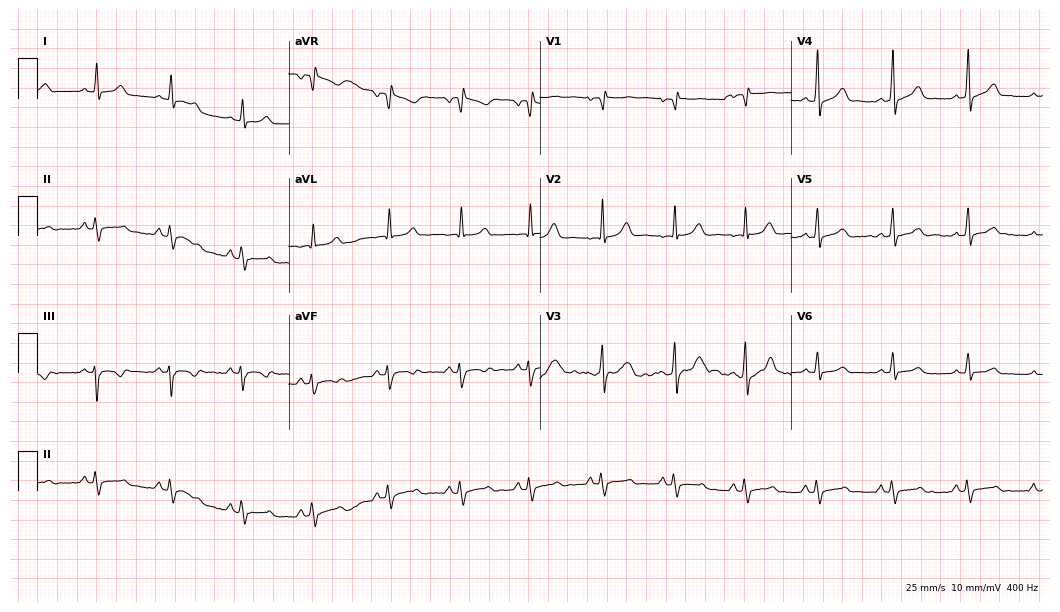
Standard 12-lead ECG recorded from a 22-year-old woman. Read as a normal ECG.